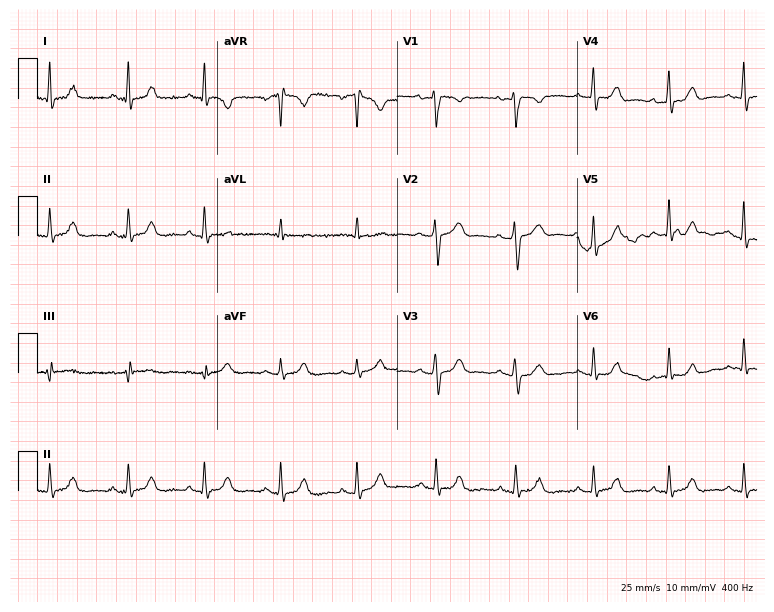
Electrocardiogram, a female, 51 years old. Overall reading on record: normal ECG.